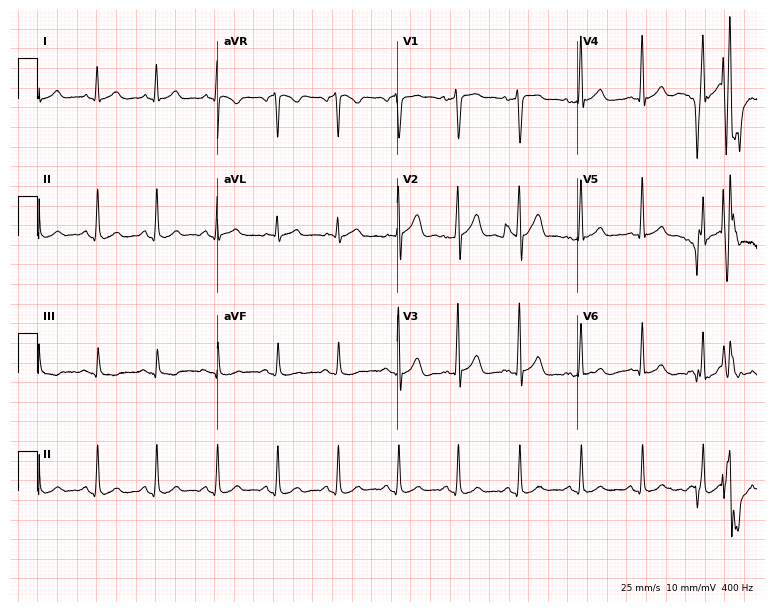
12-lead ECG from a 39-year-old man. Labelled as a normal ECG.